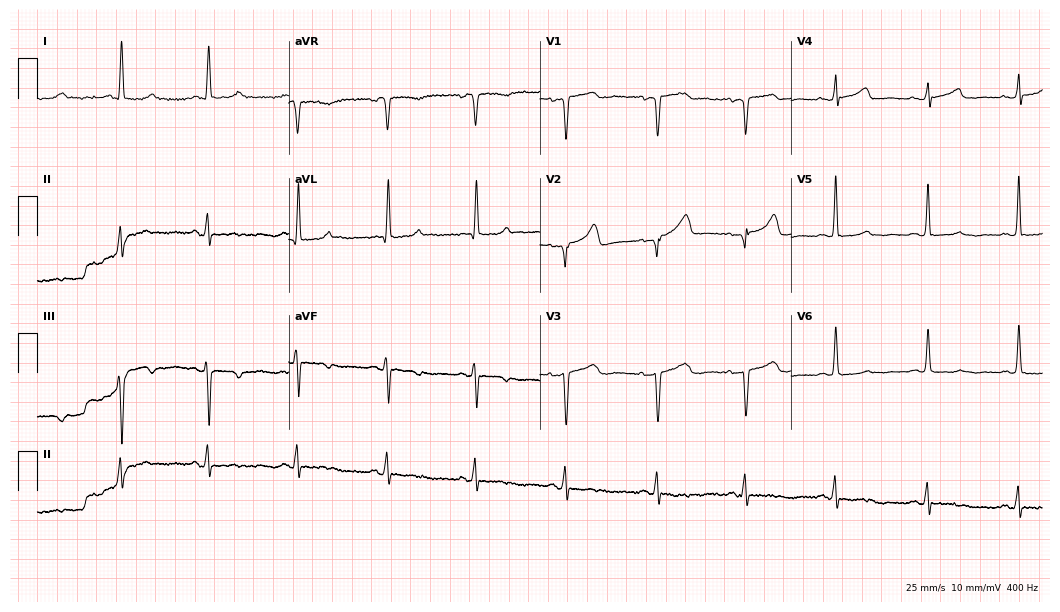
ECG — a 70-year-old woman. Screened for six findings — first-degree AV block, right bundle branch block (RBBB), left bundle branch block (LBBB), sinus bradycardia, atrial fibrillation (AF), sinus tachycardia — none is recorded.